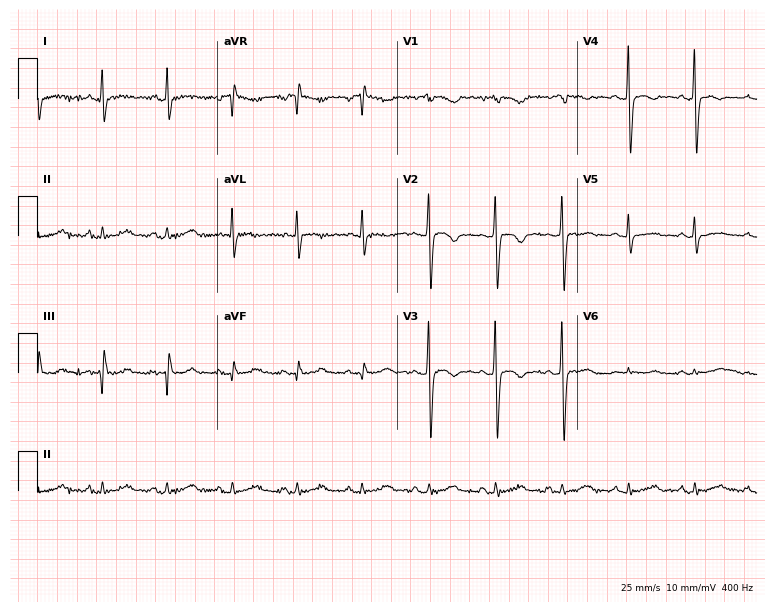
12-lead ECG from a 50-year-old female patient. No first-degree AV block, right bundle branch block, left bundle branch block, sinus bradycardia, atrial fibrillation or sinus tachycardia recorded for this tracing.